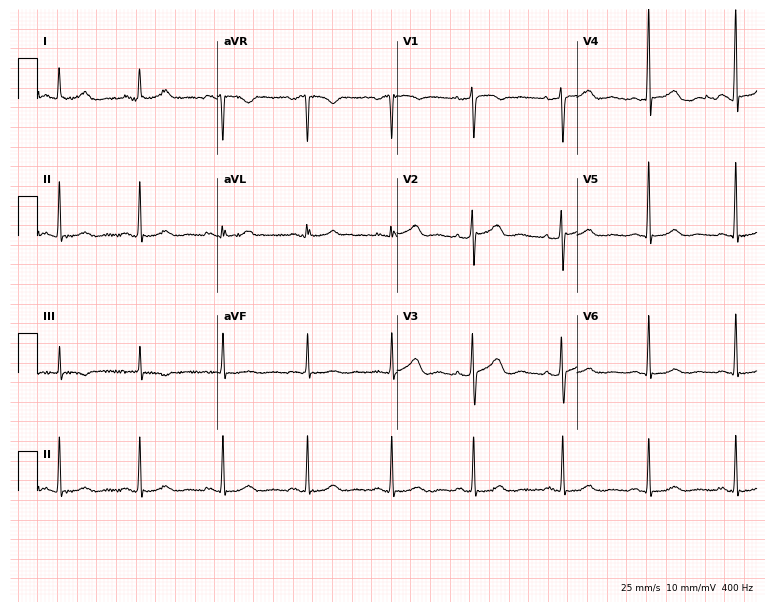
12-lead ECG from a female, 31 years old (7.3-second recording at 400 Hz). Recorded interpretation: within normal limits.